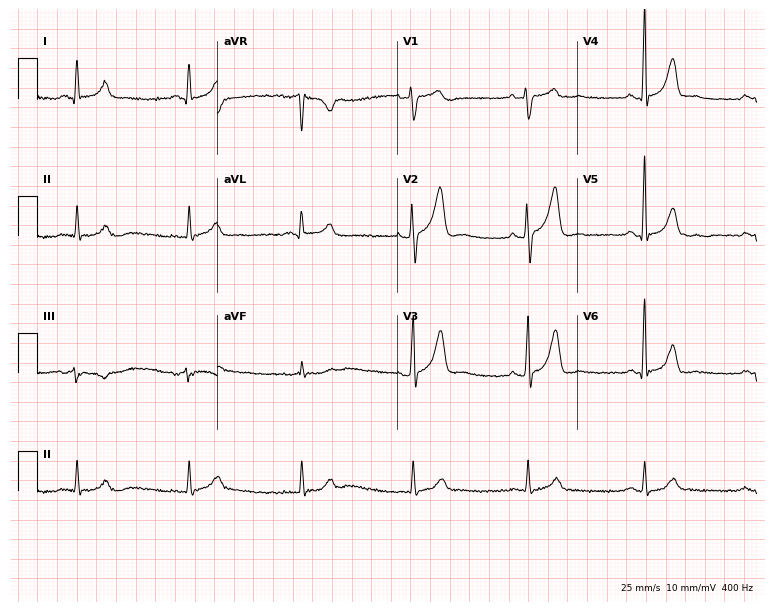
Electrocardiogram, a male patient, 59 years old. Overall reading on record: normal ECG.